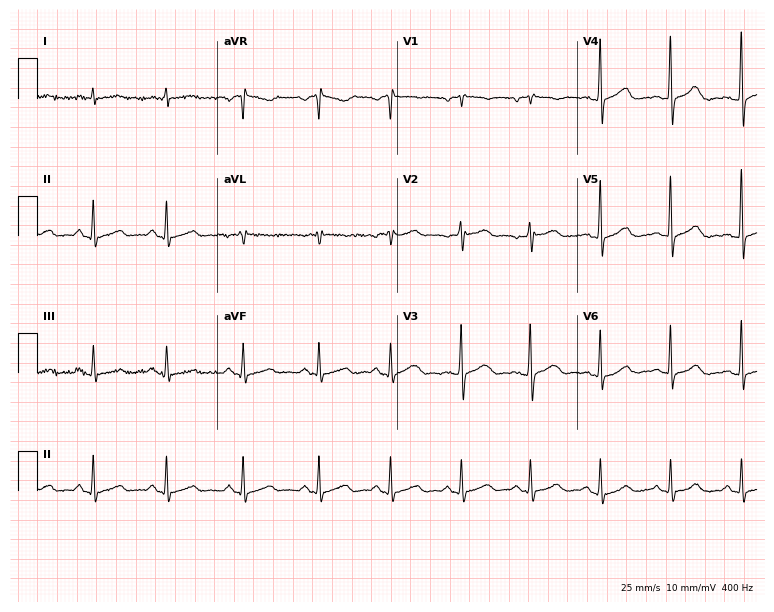
12-lead ECG from a male, 49 years old. No first-degree AV block, right bundle branch block, left bundle branch block, sinus bradycardia, atrial fibrillation or sinus tachycardia recorded for this tracing.